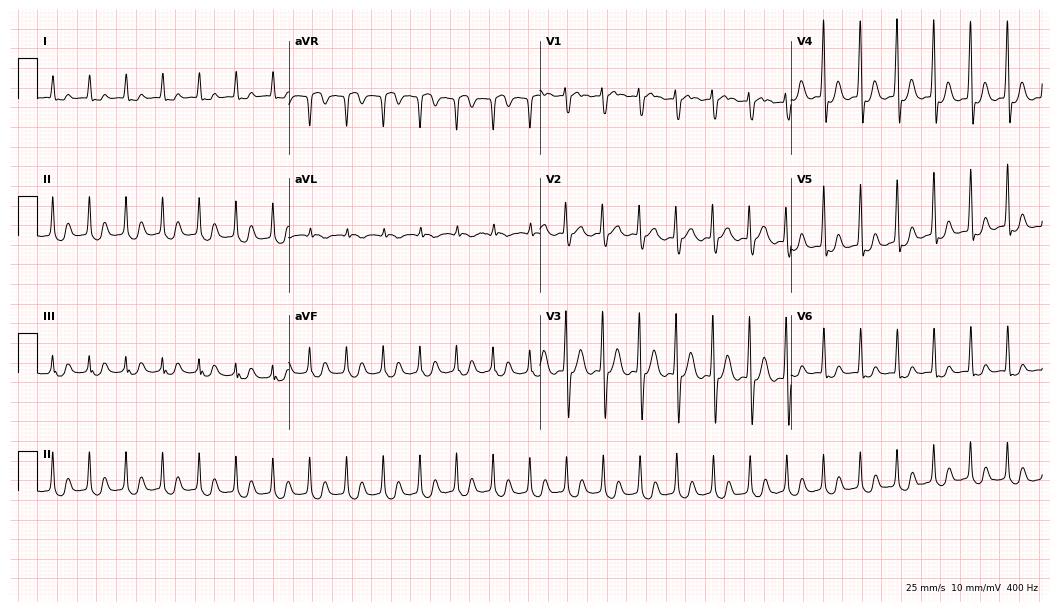
12-lead ECG from a 22-year-old man. No first-degree AV block, right bundle branch block, left bundle branch block, sinus bradycardia, atrial fibrillation or sinus tachycardia recorded for this tracing. Only these six findings were labelled.